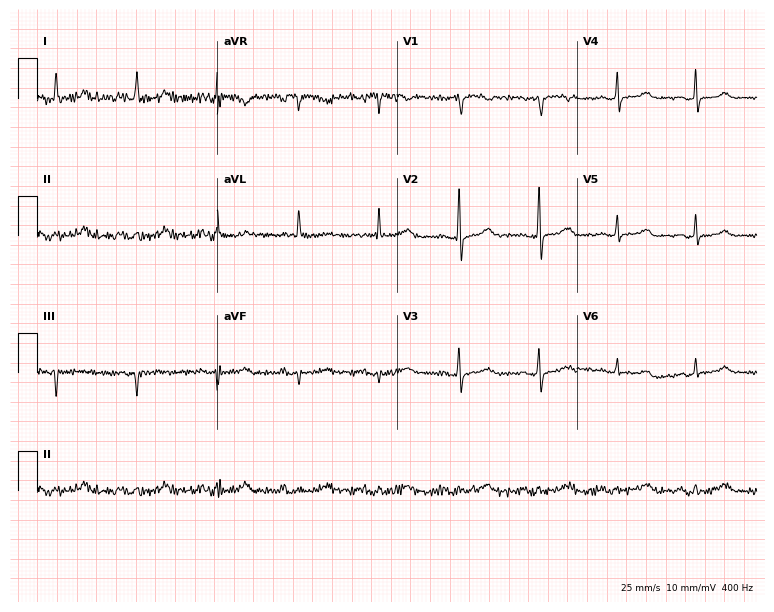
12-lead ECG from a woman, 67 years old. No first-degree AV block, right bundle branch block, left bundle branch block, sinus bradycardia, atrial fibrillation or sinus tachycardia recorded for this tracing. Other findings, if any, are not listed.